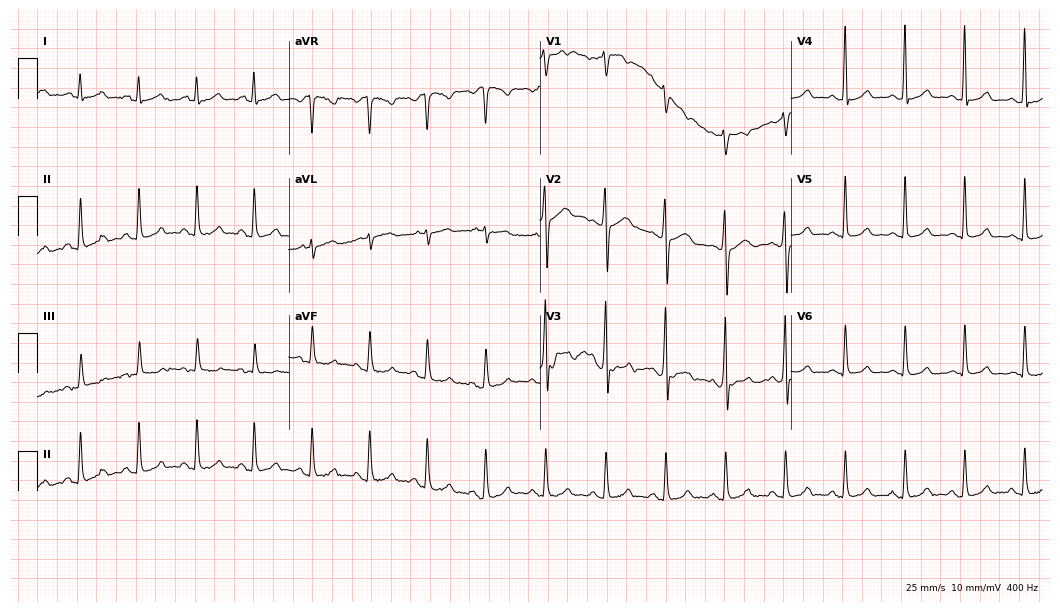
ECG (10.2-second recording at 400 Hz) — a male patient, 26 years old. Labelled as a normal ECG.